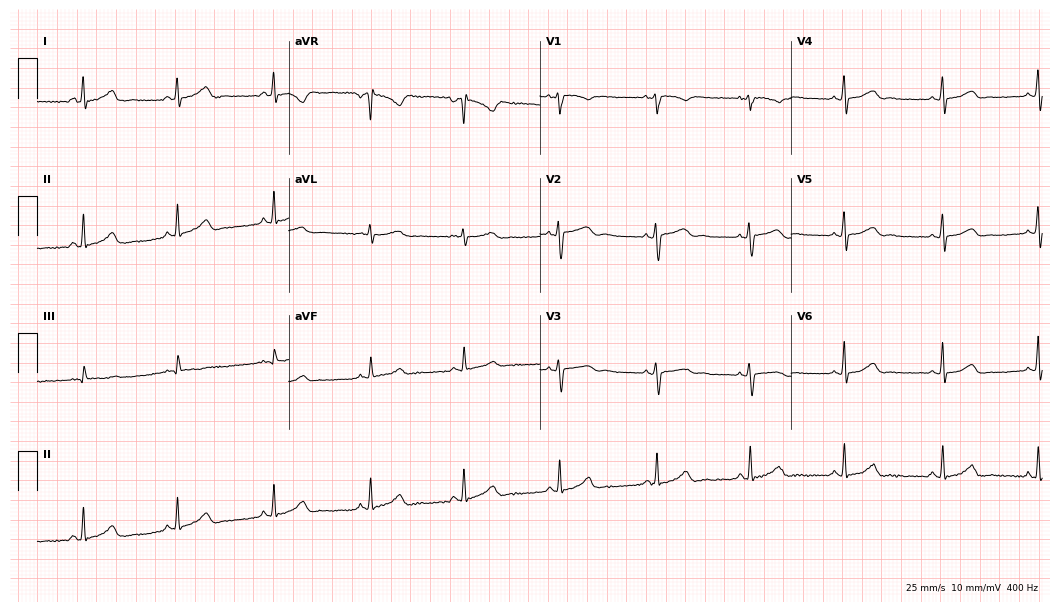
Resting 12-lead electrocardiogram (10.2-second recording at 400 Hz). Patient: a 39-year-old woman. None of these six findings is recorded: first-degree AV block, right bundle branch block (RBBB), left bundle branch block (LBBB), sinus bradycardia, atrial fibrillation (AF), sinus tachycardia.